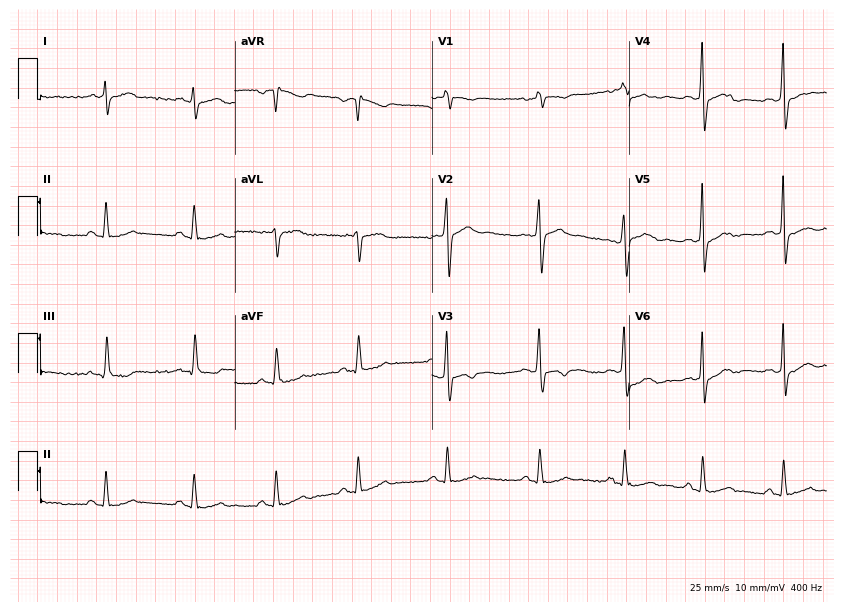
12-lead ECG (8-second recording at 400 Hz) from a male, 37 years old. Screened for six findings — first-degree AV block, right bundle branch block (RBBB), left bundle branch block (LBBB), sinus bradycardia, atrial fibrillation (AF), sinus tachycardia — none is recorded.